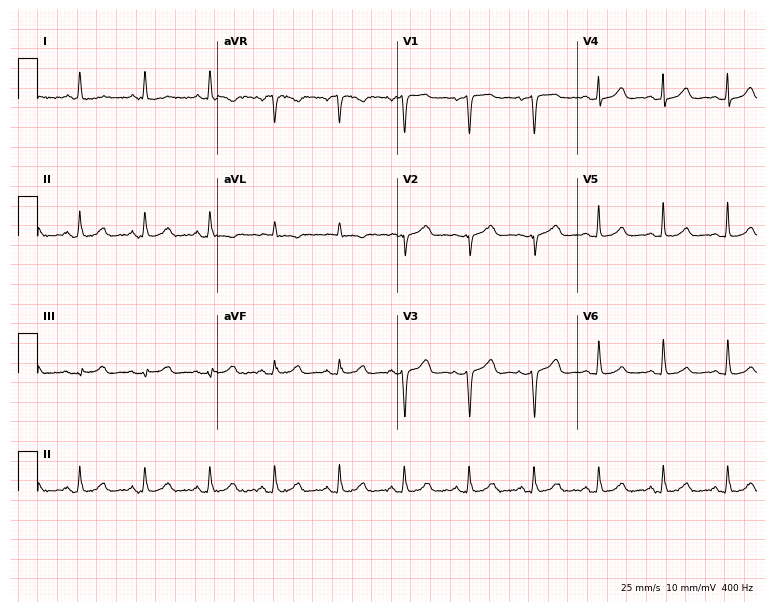
12-lead ECG (7.3-second recording at 400 Hz) from a woman, 59 years old. Screened for six findings — first-degree AV block, right bundle branch block, left bundle branch block, sinus bradycardia, atrial fibrillation, sinus tachycardia — none is recorded.